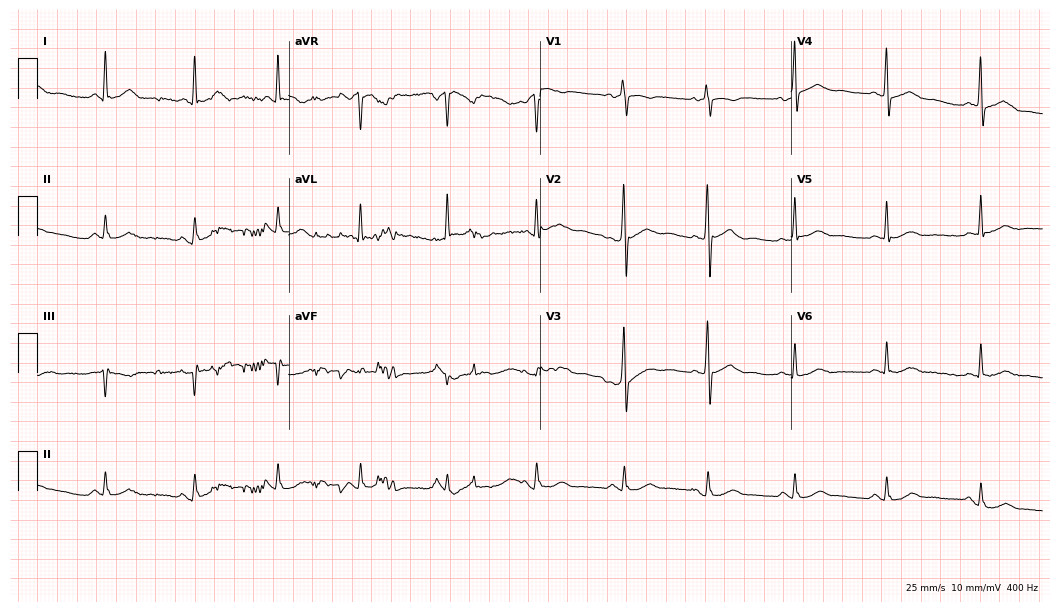
Electrocardiogram (10.2-second recording at 400 Hz), a male patient, 66 years old. Of the six screened findings (first-degree AV block, right bundle branch block, left bundle branch block, sinus bradycardia, atrial fibrillation, sinus tachycardia), none is recorded.